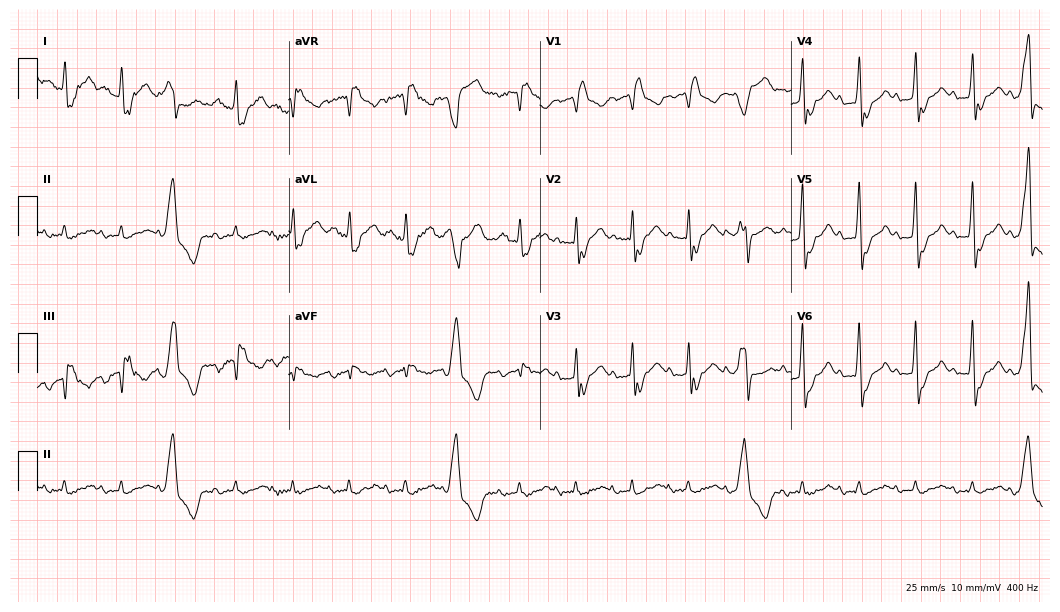
ECG — a male, 58 years old. Findings include sinus tachycardia (a sinus rate of 100 beats per minute or more).